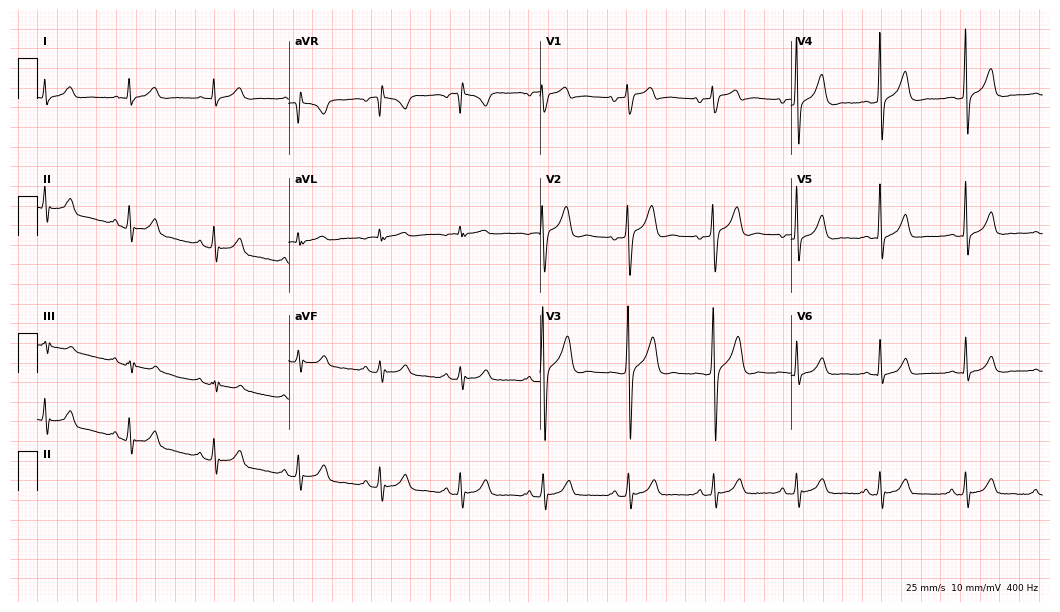
ECG — a 37-year-old man. Screened for six findings — first-degree AV block, right bundle branch block (RBBB), left bundle branch block (LBBB), sinus bradycardia, atrial fibrillation (AF), sinus tachycardia — none is recorded.